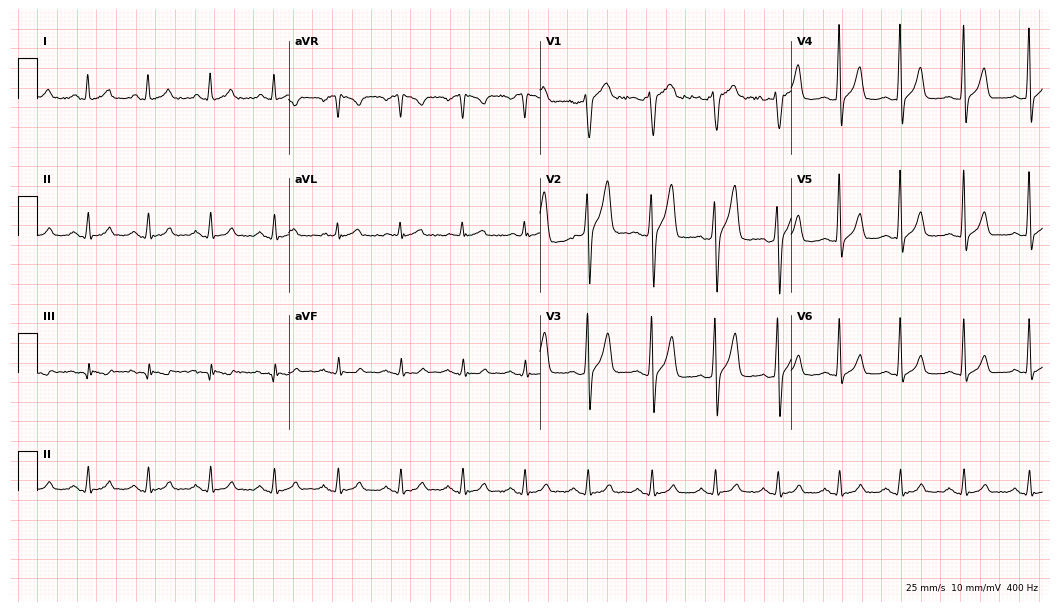
12-lead ECG (10.2-second recording at 400 Hz) from a male patient, 32 years old. Screened for six findings — first-degree AV block, right bundle branch block (RBBB), left bundle branch block (LBBB), sinus bradycardia, atrial fibrillation (AF), sinus tachycardia — none is recorded. Findings outside these six are not listed.